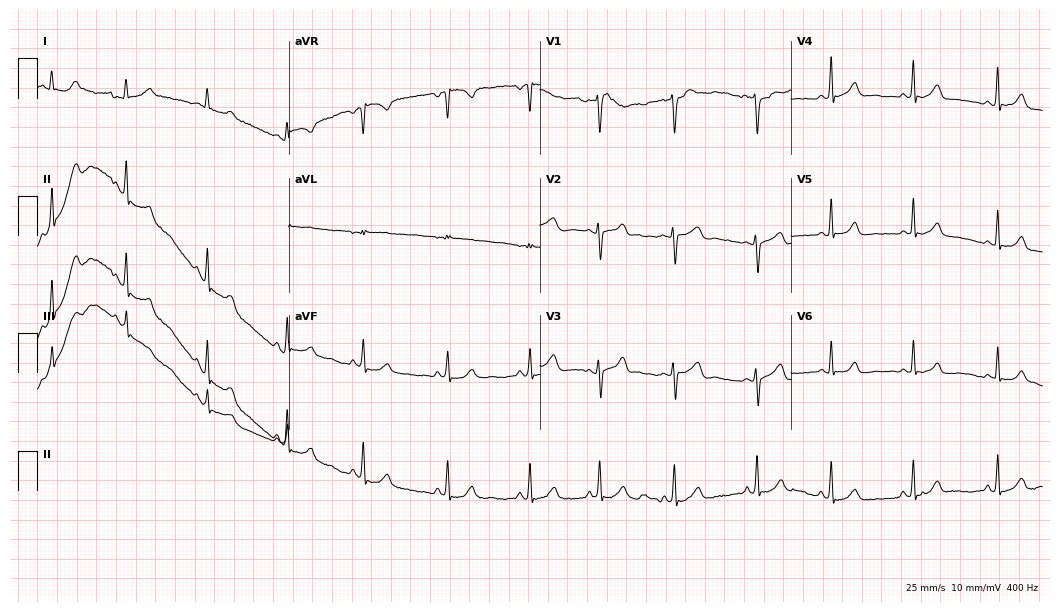
12-lead ECG from a 19-year-old female patient (10.2-second recording at 400 Hz). Recorded interpretation: within normal limits.